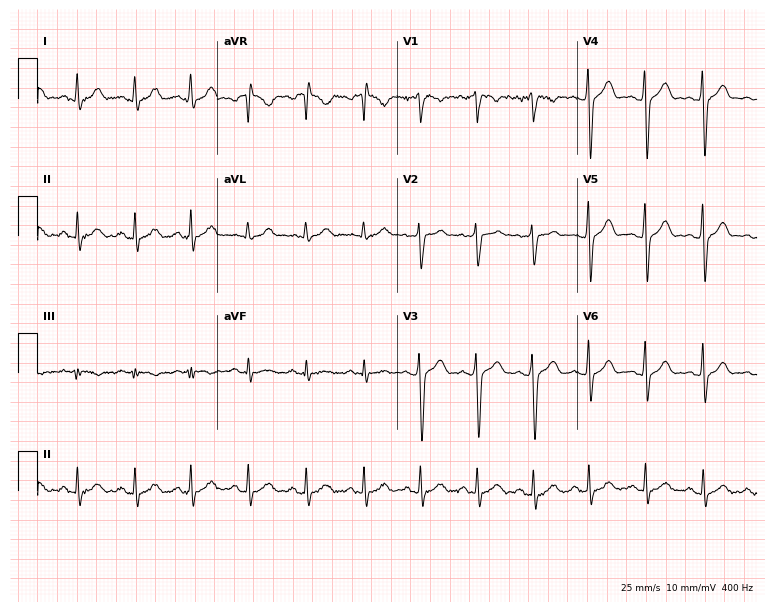
12-lead ECG from a 23-year-old man (7.3-second recording at 400 Hz). Shows sinus tachycardia (a sinus rate of 100 beats per minute or more).